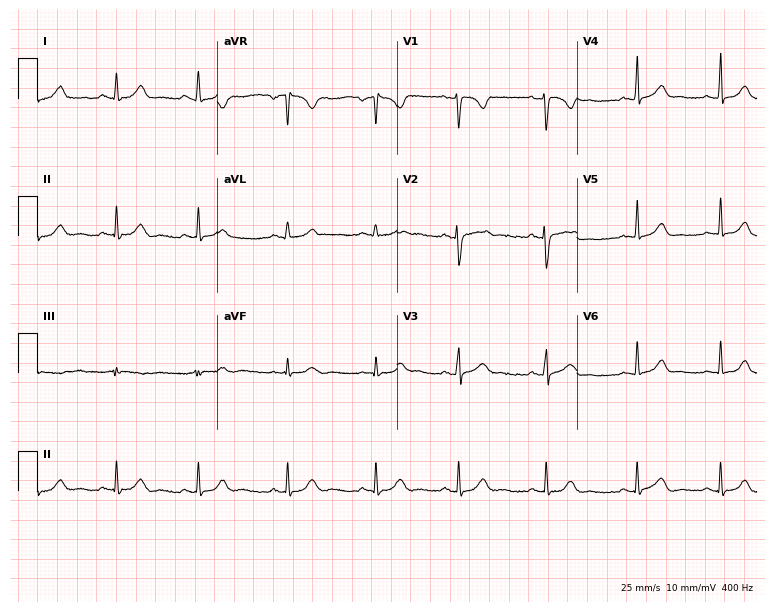
Resting 12-lead electrocardiogram (7.3-second recording at 400 Hz). Patient: a 23-year-old female. None of these six findings is recorded: first-degree AV block, right bundle branch block, left bundle branch block, sinus bradycardia, atrial fibrillation, sinus tachycardia. Other findings, if any, are not listed.